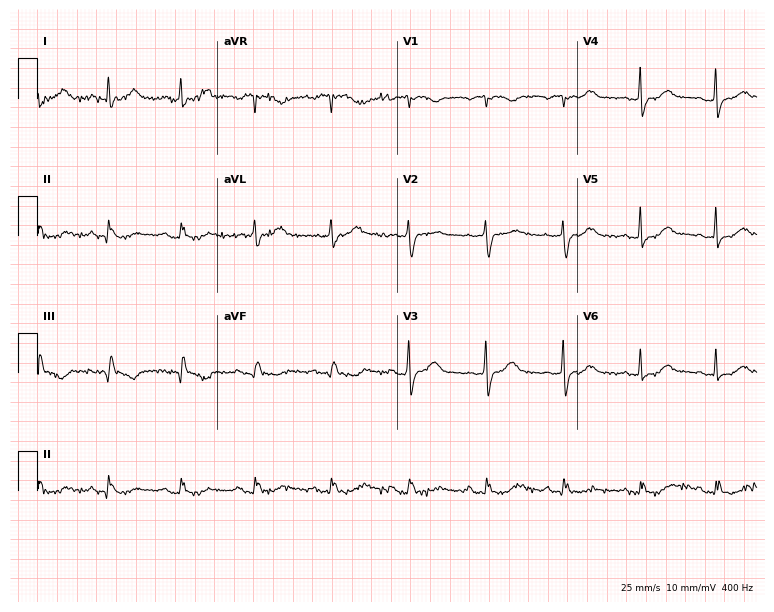
12-lead ECG from a 62-year-old male patient. No first-degree AV block, right bundle branch block, left bundle branch block, sinus bradycardia, atrial fibrillation or sinus tachycardia recorded for this tracing. Only these six findings were labelled.